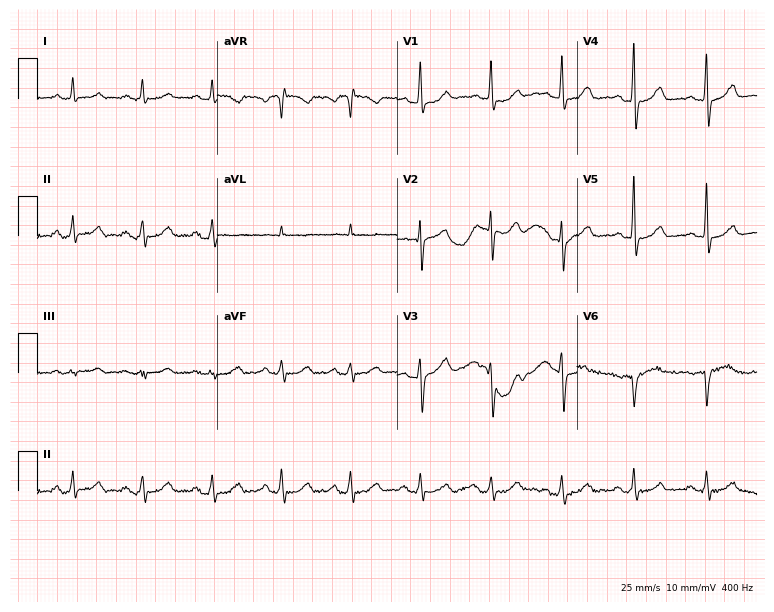
Standard 12-lead ECG recorded from a 68-year-old woman. None of these six findings is recorded: first-degree AV block, right bundle branch block (RBBB), left bundle branch block (LBBB), sinus bradycardia, atrial fibrillation (AF), sinus tachycardia. Findings outside these six are not listed.